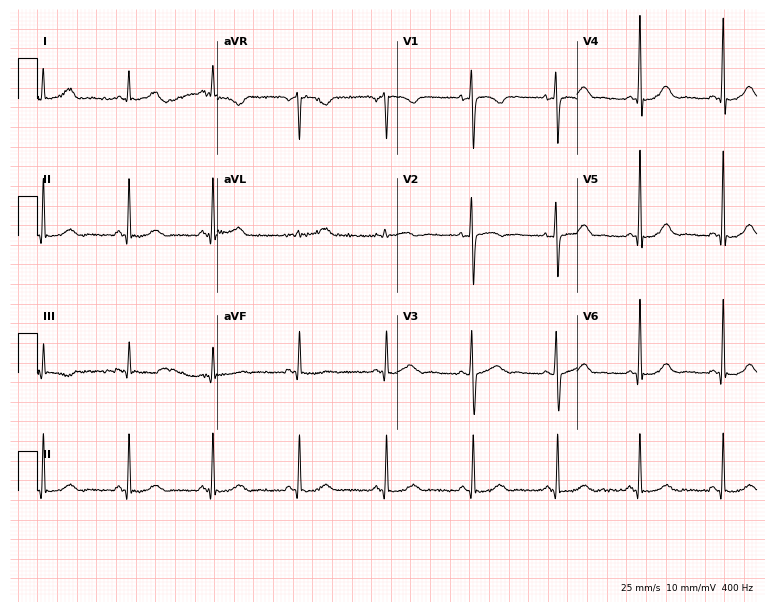
12-lead ECG from a 26-year-old woman (7.3-second recording at 400 Hz). Recorded interpretation: within normal limits.